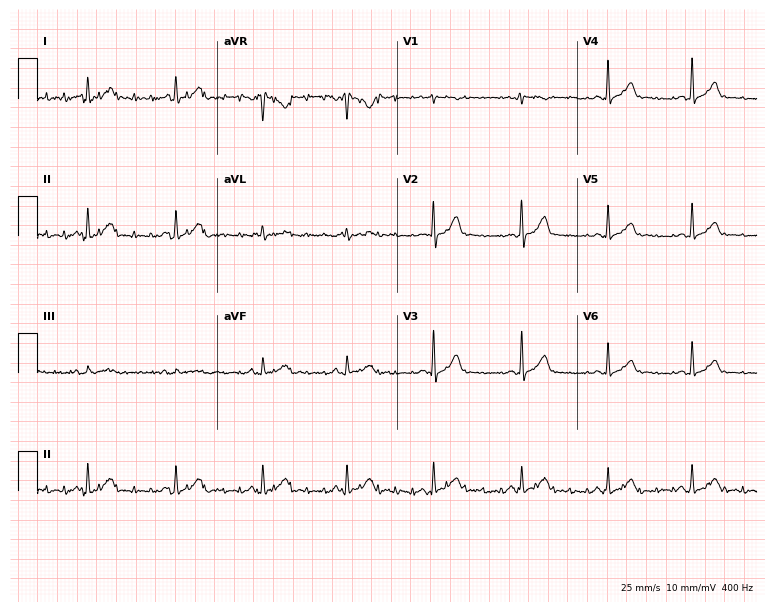
12-lead ECG from a female patient, 42 years old (7.3-second recording at 400 Hz). Recorded interpretation: within normal limits.